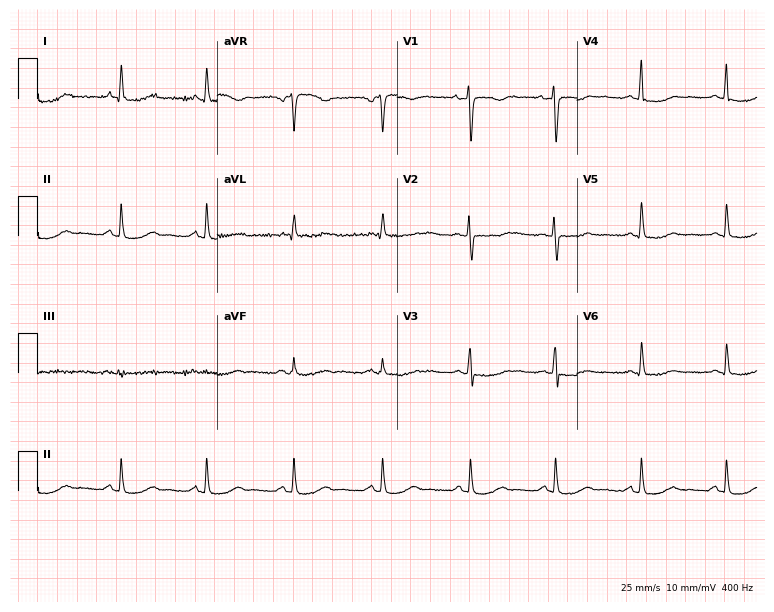
Standard 12-lead ECG recorded from a 48-year-old female patient. Read as a normal ECG.